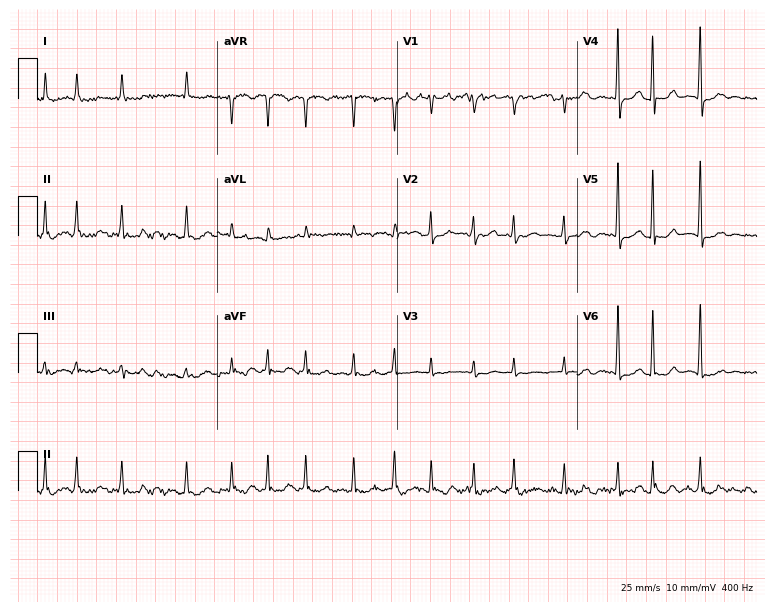
Standard 12-lead ECG recorded from a 73-year-old male patient (7.3-second recording at 400 Hz). The tracing shows atrial fibrillation.